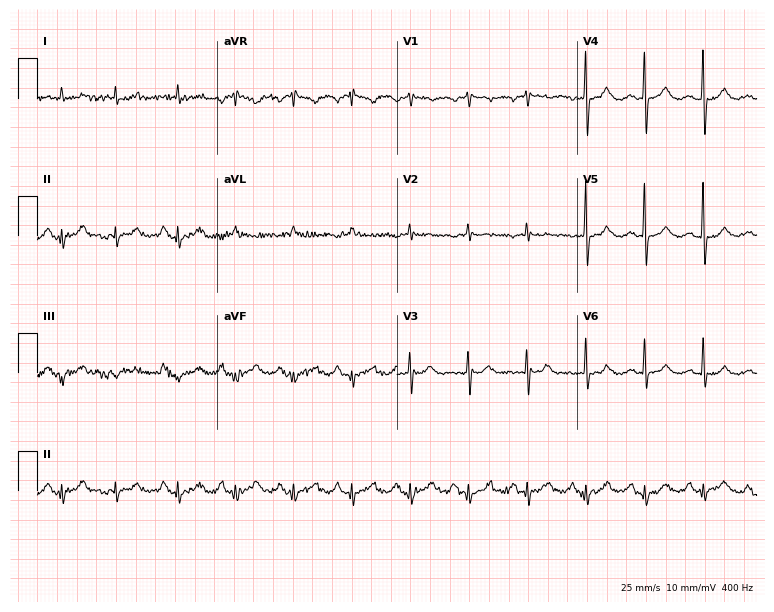
ECG (7.3-second recording at 400 Hz) — an 80-year-old male. Screened for six findings — first-degree AV block, right bundle branch block, left bundle branch block, sinus bradycardia, atrial fibrillation, sinus tachycardia — none is recorded. Only these six findings were labelled.